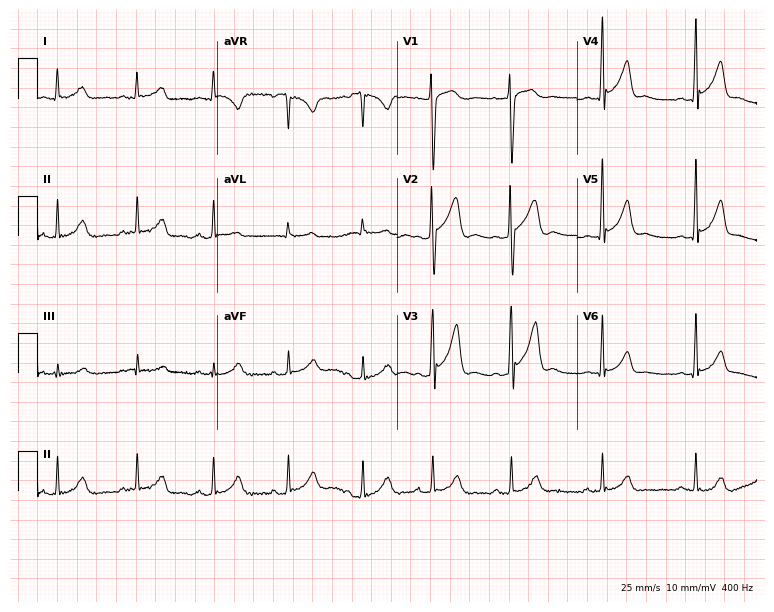
Resting 12-lead electrocardiogram (7.3-second recording at 400 Hz). Patient: a male, 33 years old. None of these six findings is recorded: first-degree AV block, right bundle branch block (RBBB), left bundle branch block (LBBB), sinus bradycardia, atrial fibrillation (AF), sinus tachycardia. Findings outside these six are not listed.